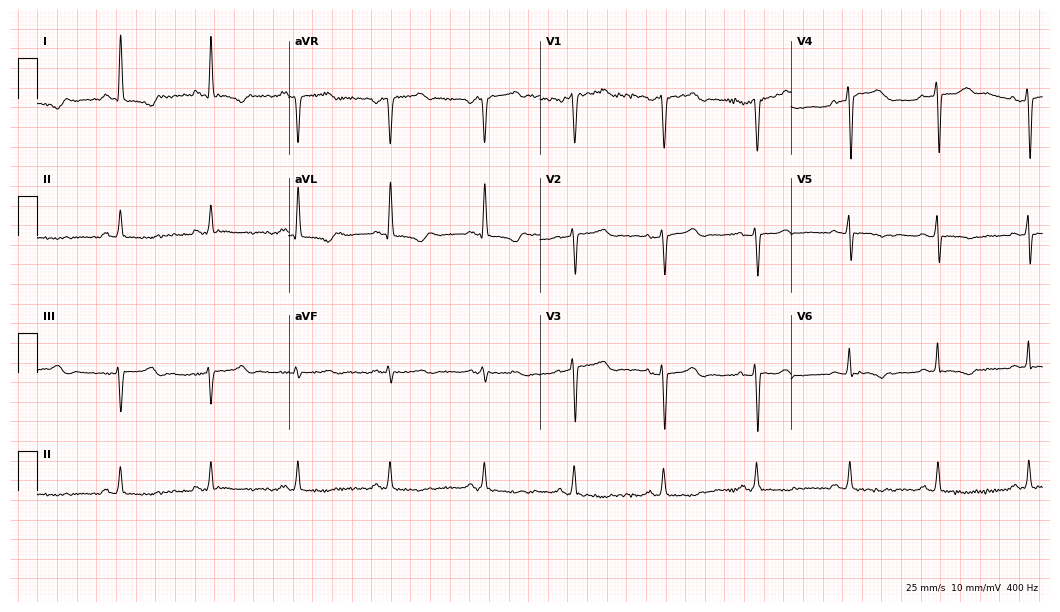
Standard 12-lead ECG recorded from a 58-year-old woman. None of these six findings is recorded: first-degree AV block, right bundle branch block, left bundle branch block, sinus bradycardia, atrial fibrillation, sinus tachycardia. Only these six findings were labelled.